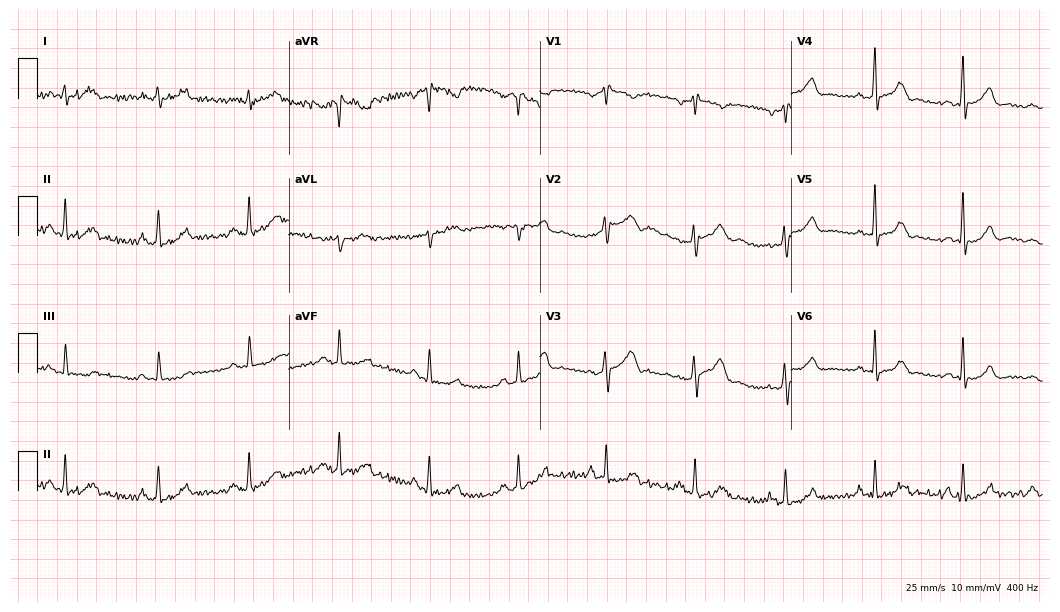
12-lead ECG (10.2-second recording at 400 Hz) from a male patient, 53 years old. Labelled as a normal ECG.